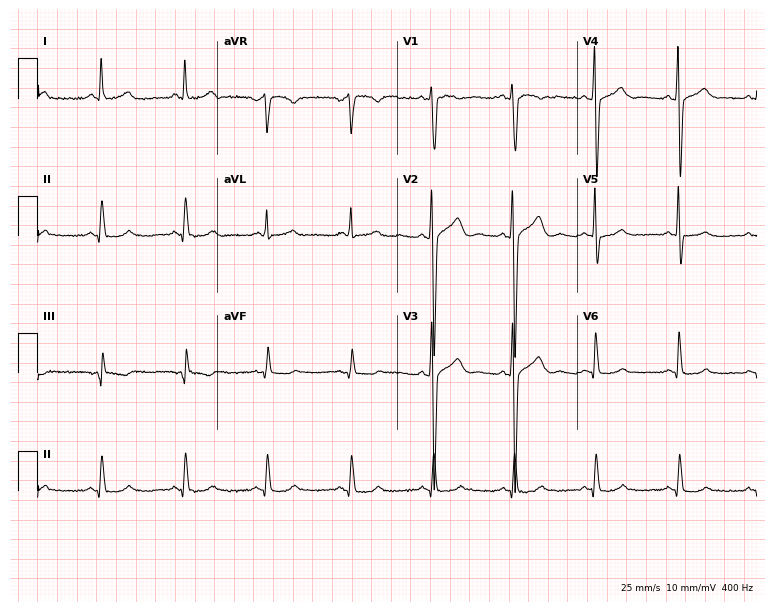
Electrocardiogram (7.3-second recording at 400 Hz), a 33-year-old man. Of the six screened findings (first-degree AV block, right bundle branch block, left bundle branch block, sinus bradycardia, atrial fibrillation, sinus tachycardia), none is recorded. Only these six findings were labelled.